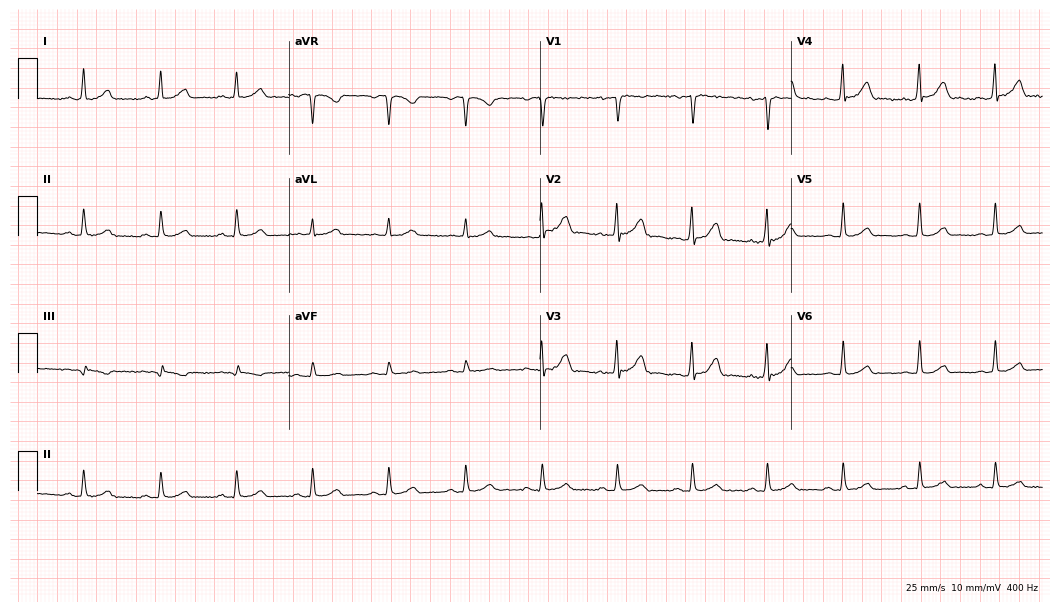
Standard 12-lead ECG recorded from a male patient, 43 years old (10.2-second recording at 400 Hz). Read as a normal ECG.